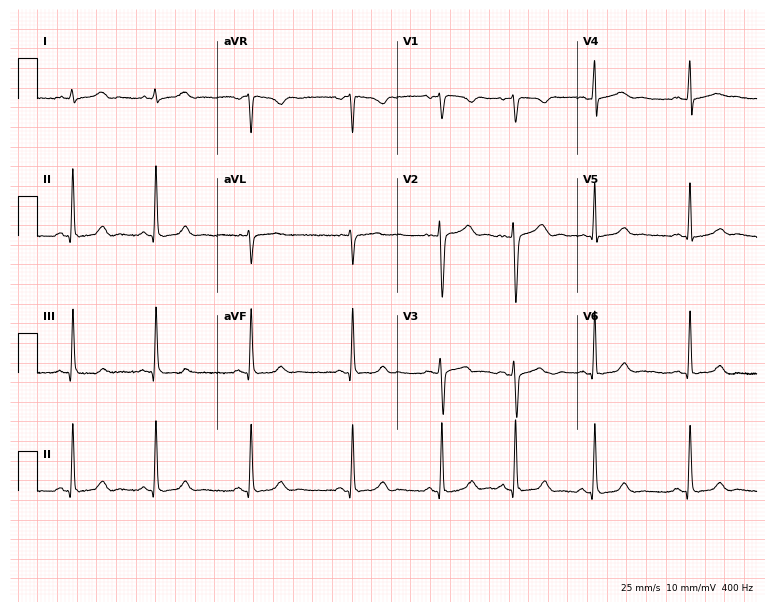
12-lead ECG from a female, 25 years old. Labelled as a normal ECG.